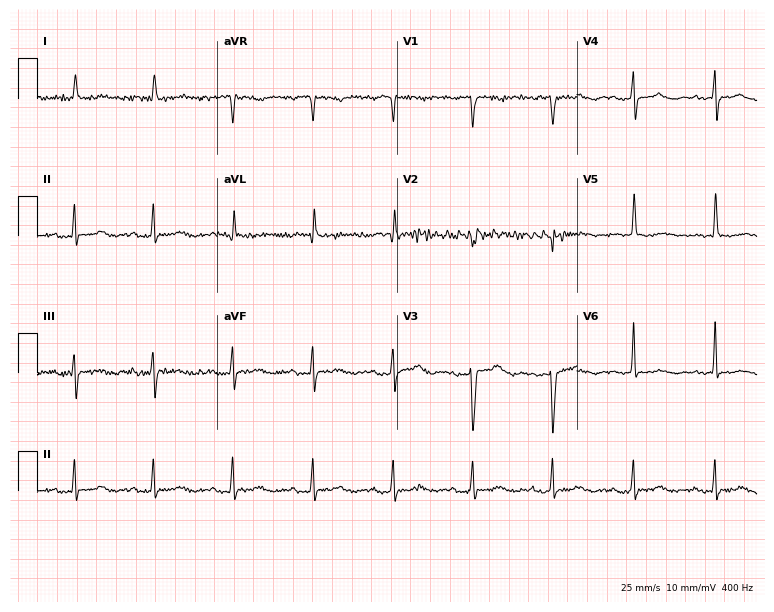
Standard 12-lead ECG recorded from a female patient, 88 years old. None of these six findings is recorded: first-degree AV block, right bundle branch block, left bundle branch block, sinus bradycardia, atrial fibrillation, sinus tachycardia.